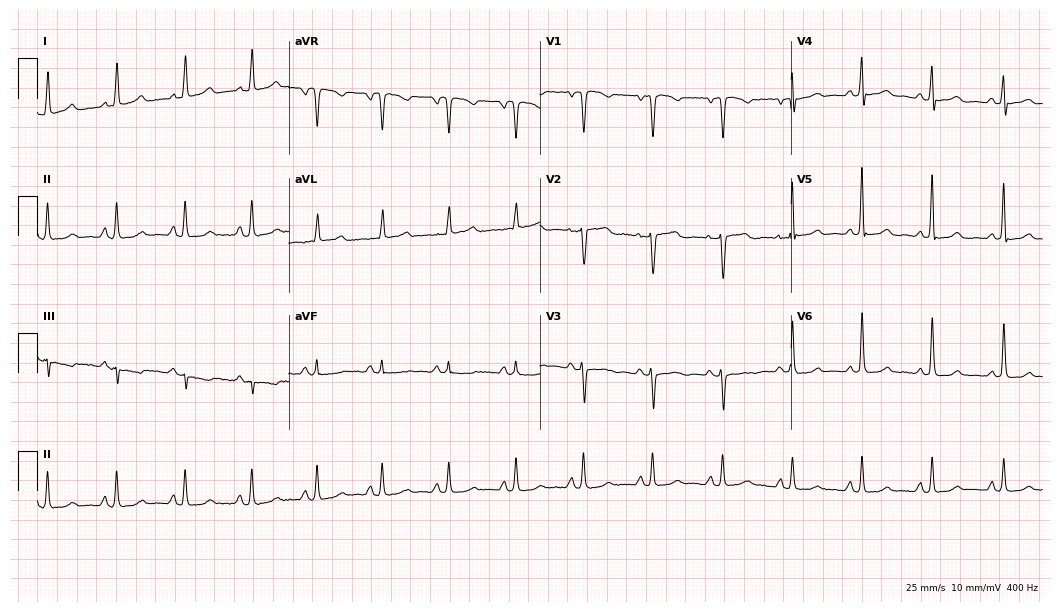
12-lead ECG from a 66-year-old female (10.2-second recording at 400 Hz). No first-degree AV block, right bundle branch block (RBBB), left bundle branch block (LBBB), sinus bradycardia, atrial fibrillation (AF) or sinus tachycardia recorded for this tracing. Findings outside these six are not listed.